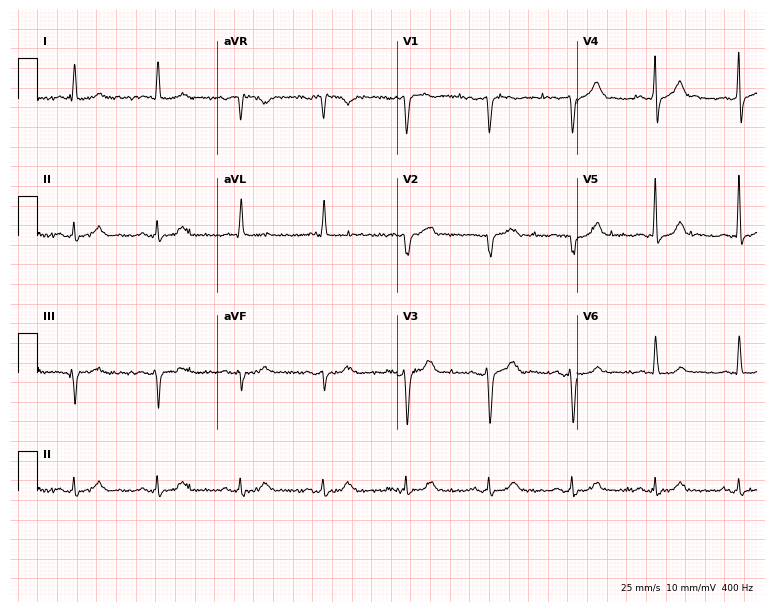
Resting 12-lead electrocardiogram. Patient: a man, 75 years old. Read as a normal ECG.